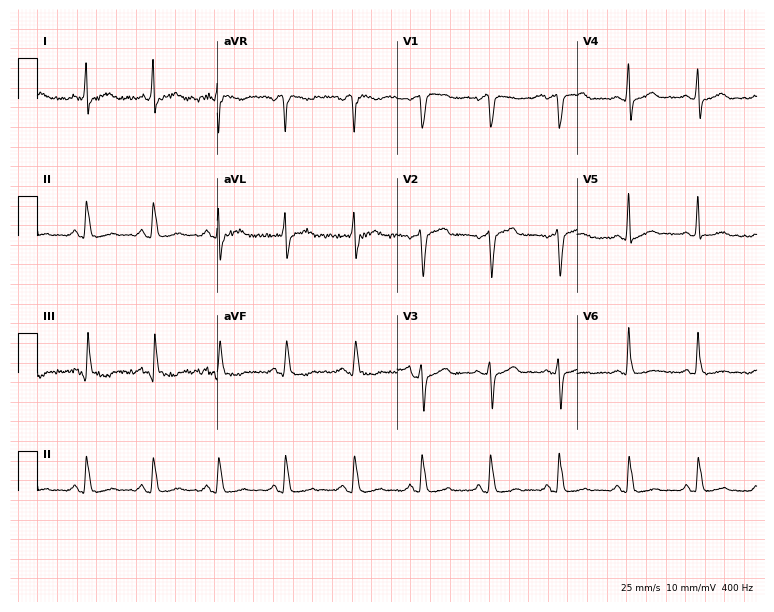
Standard 12-lead ECG recorded from a woman, 54 years old (7.3-second recording at 400 Hz). None of these six findings is recorded: first-degree AV block, right bundle branch block, left bundle branch block, sinus bradycardia, atrial fibrillation, sinus tachycardia. Findings outside these six are not listed.